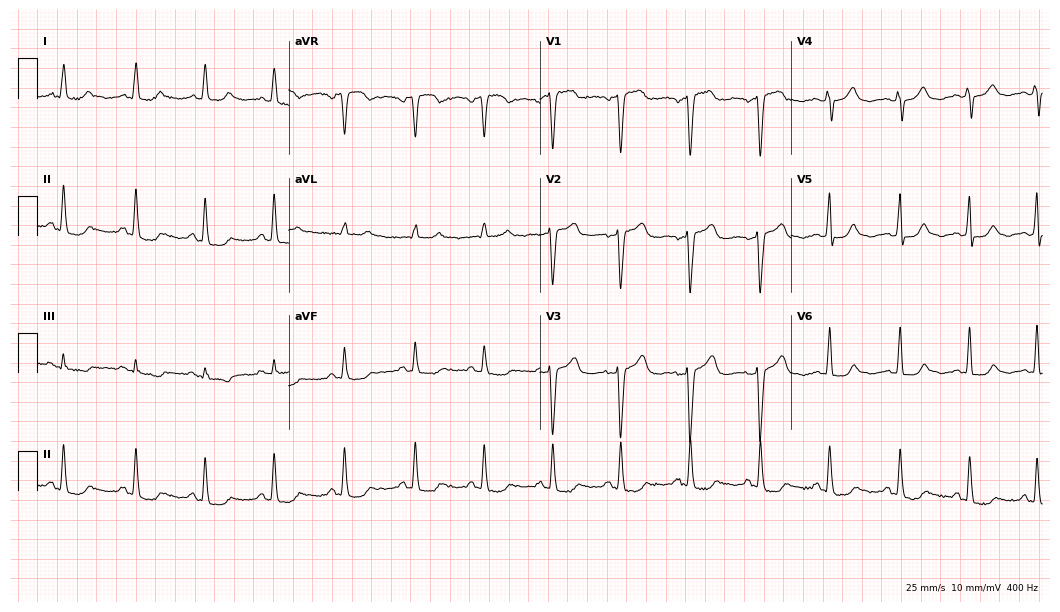
12-lead ECG from a 58-year-old woman (10.2-second recording at 400 Hz). Recorded interpretation: within normal limits.